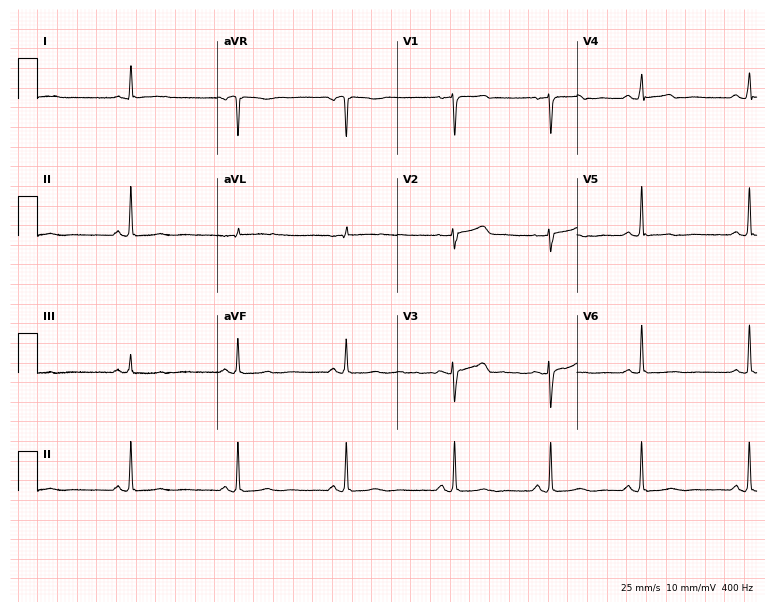
ECG (7.3-second recording at 400 Hz) — a 52-year-old male. Screened for six findings — first-degree AV block, right bundle branch block, left bundle branch block, sinus bradycardia, atrial fibrillation, sinus tachycardia — none is recorded.